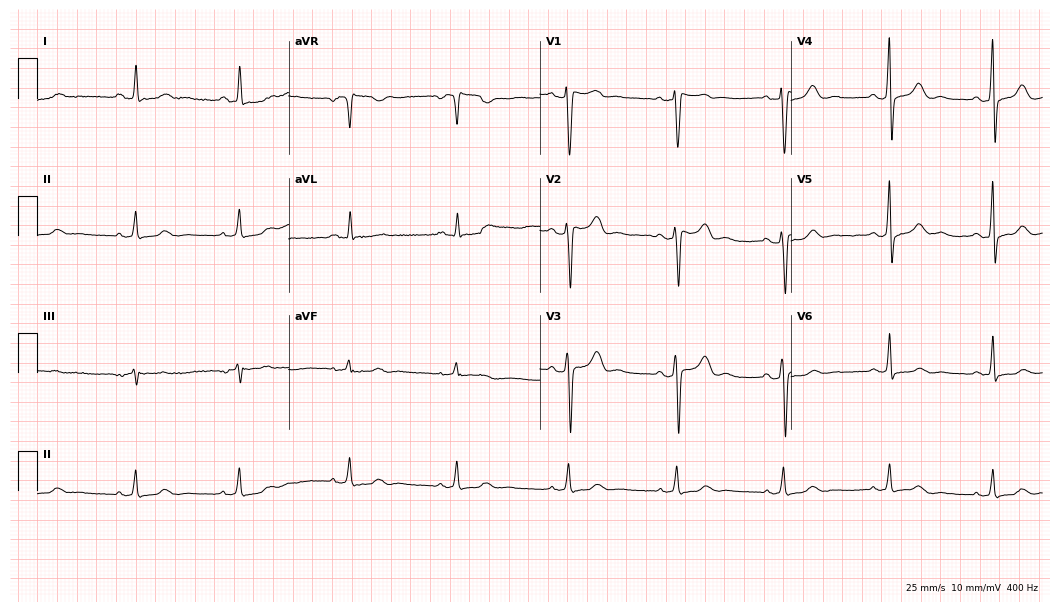
Electrocardiogram (10.2-second recording at 400 Hz), a female, 49 years old. Overall reading on record: normal ECG.